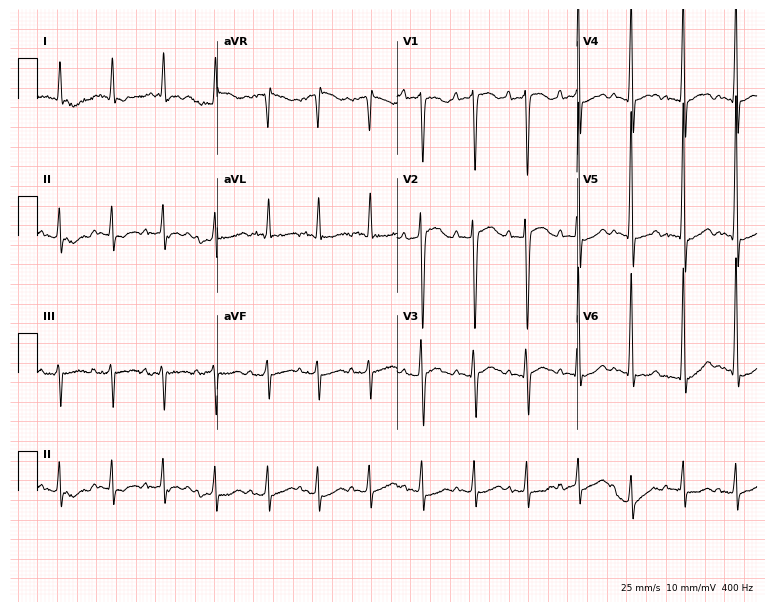
12-lead ECG from a 78-year-old female (7.3-second recording at 400 Hz). No first-degree AV block, right bundle branch block (RBBB), left bundle branch block (LBBB), sinus bradycardia, atrial fibrillation (AF) or sinus tachycardia recorded for this tracing.